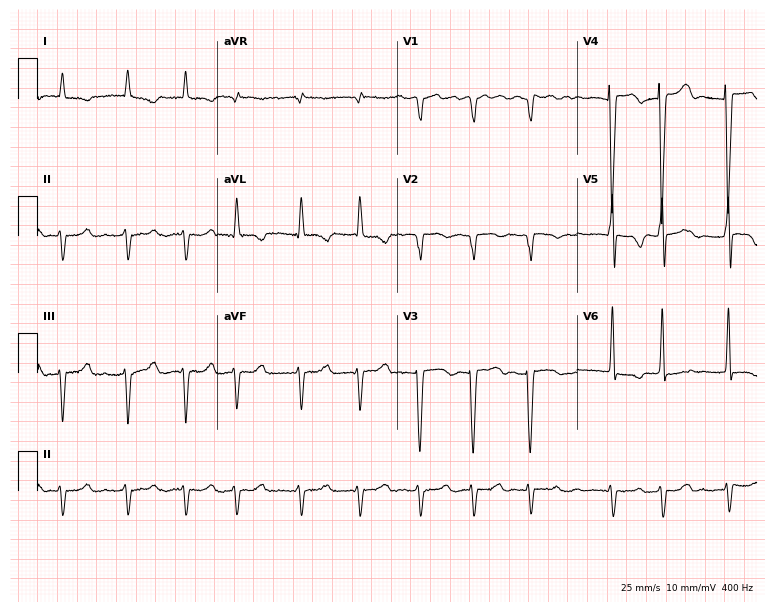
12-lead ECG from an 83-year-old male. No first-degree AV block, right bundle branch block (RBBB), left bundle branch block (LBBB), sinus bradycardia, atrial fibrillation (AF) or sinus tachycardia recorded for this tracing.